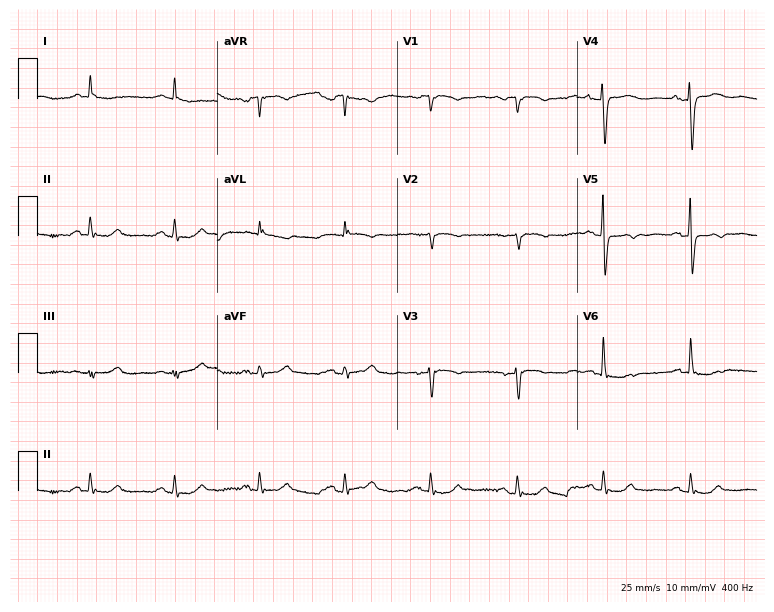
ECG — a woman, 74 years old. Screened for six findings — first-degree AV block, right bundle branch block (RBBB), left bundle branch block (LBBB), sinus bradycardia, atrial fibrillation (AF), sinus tachycardia — none is recorded.